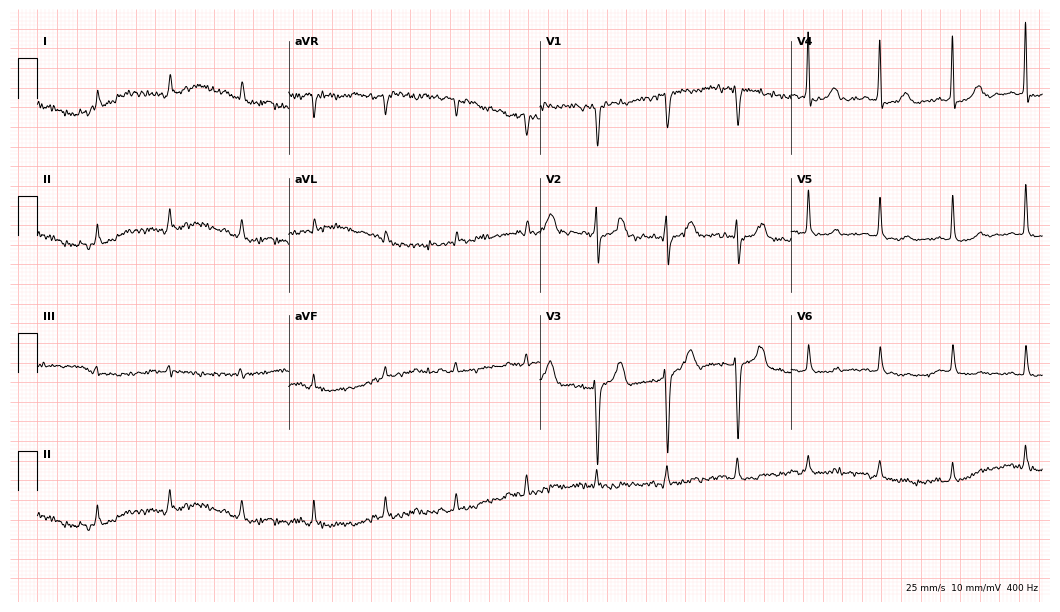
ECG (10.2-second recording at 400 Hz) — an 85-year-old male patient. Screened for six findings — first-degree AV block, right bundle branch block, left bundle branch block, sinus bradycardia, atrial fibrillation, sinus tachycardia — none is recorded. Other findings, if any, are not listed.